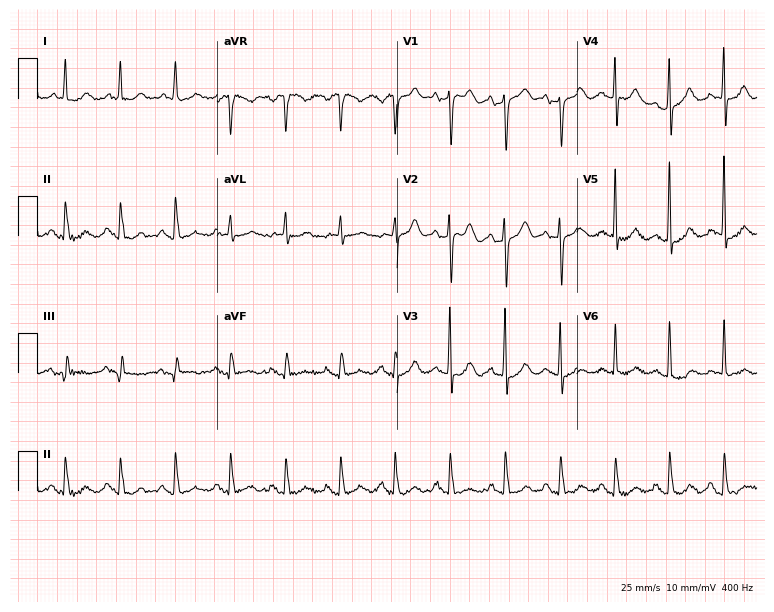
12-lead ECG from a woman, 83 years old (7.3-second recording at 400 Hz). Shows sinus tachycardia (a sinus rate of 100 beats per minute or more).